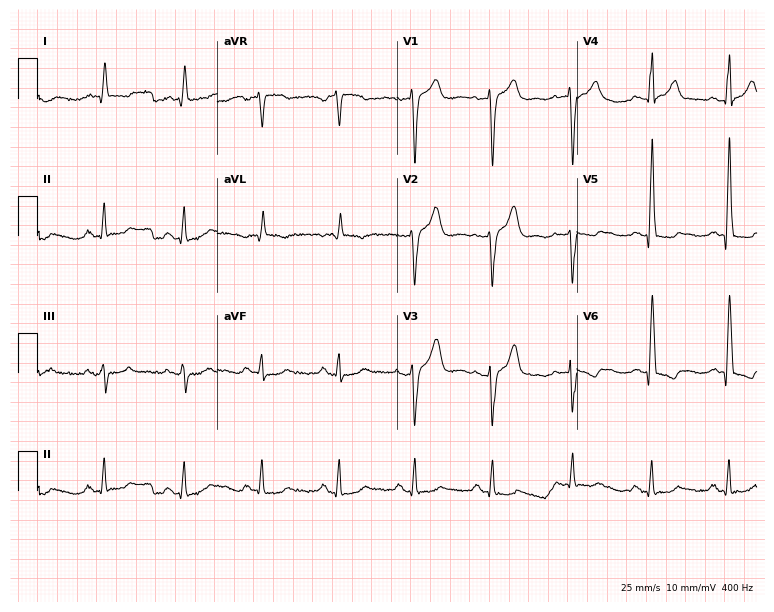
12-lead ECG from an 85-year-old male. Screened for six findings — first-degree AV block, right bundle branch block, left bundle branch block, sinus bradycardia, atrial fibrillation, sinus tachycardia — none is recorded. Other findings, if any, are not listed.